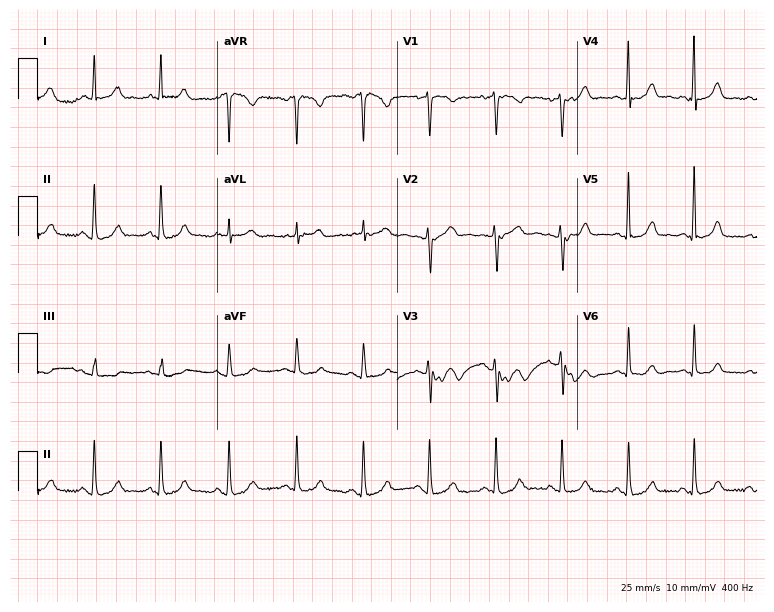
ECG (7.3-second recording at 400 Hz) — a female, 40 years old. Screened for six findings — first-degree AV block, right bundle branch block, left bundle branch block, sinus bradycardia, atrial fibrillation, sinus tachycardia — none is recorded. Only these six findings were labelled.